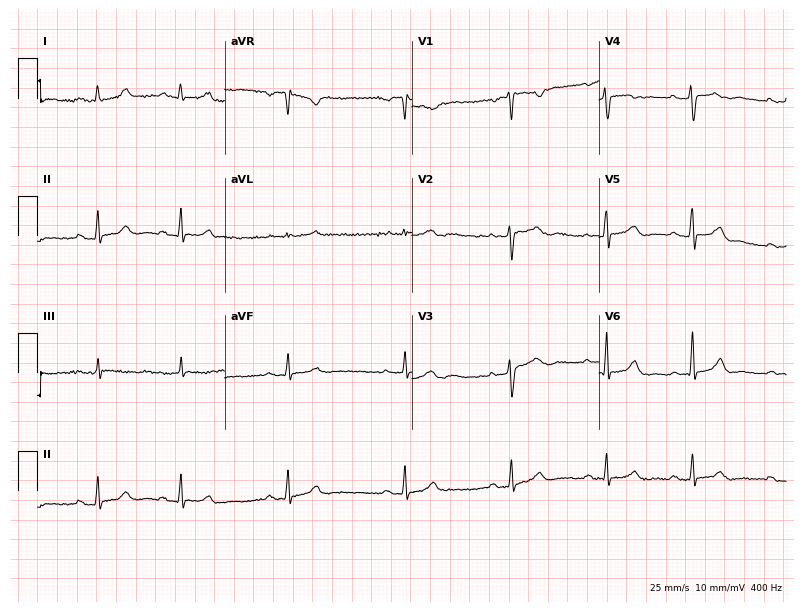
Electrocardiogram, a 35-year-old female. Of the six screened findings (first-degree AV block, right bundle branch block, left bundle branch block, sinus bradycardia, atrial fibrillation, sinus tachycardia), none is recorded. Only these six findings were labelled.